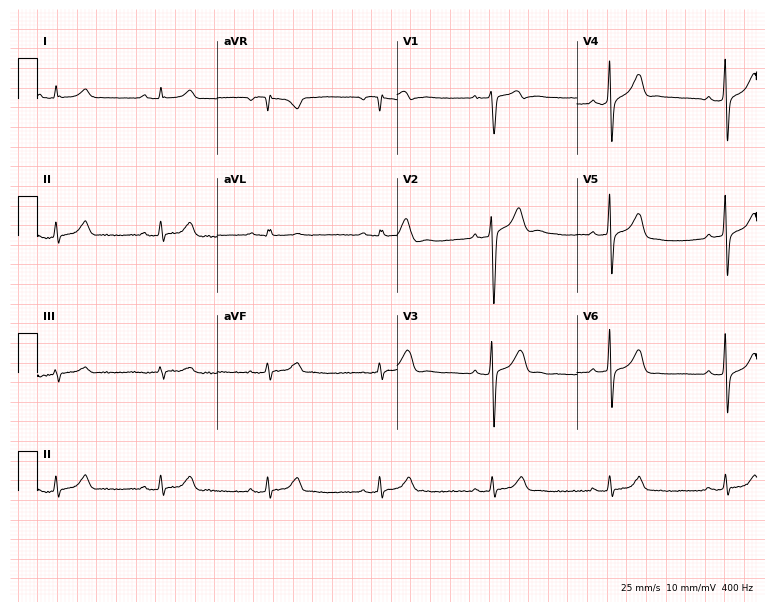
12-lead ECG from a male, 34 years old. No first-degree AV block, right bundle branch block, left bundle branch block, sinus bradycardia, atrial fibrillation or sinus tachycardia recorded for this tracing. Only these six findings were labelled.